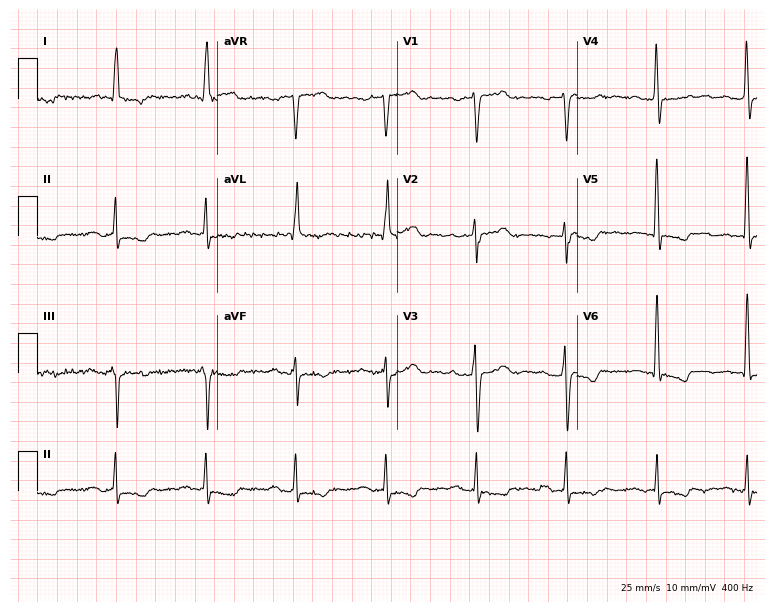
Standard 12-lead ECG recorded from a 79-year-old male (7.3-second recording at 400 Hz). None of these six findings is recorded: first-degree AV block, right bundle branch block, left bundle branch block, sinus bradycardia, atrial fibrillation, sinus tachycardia. Only these six findings were labelled.